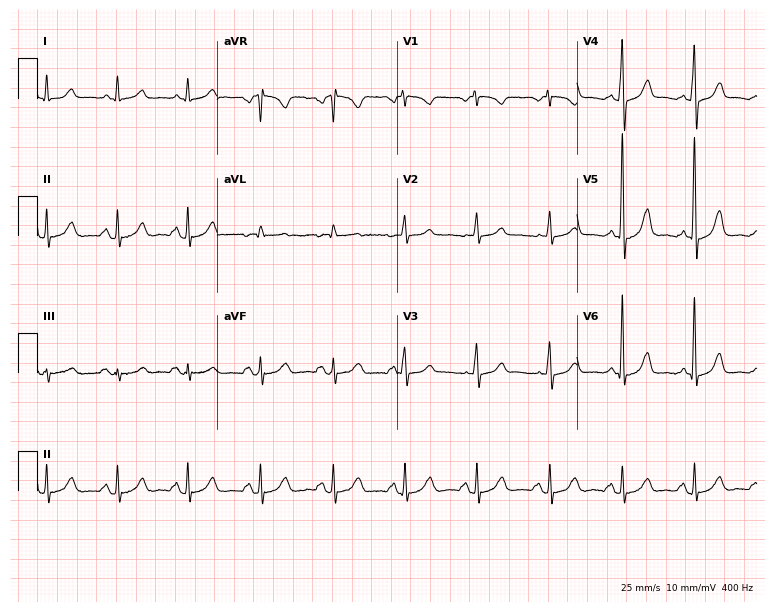
Resting 12-lead electrocardiogram. Patient: a 65-year-old woman. None of these six findings is recorded: first-degree AV block, right bundle branch block, left bundle branch block, sinus bradycardia, atrial fibrillation, sinus tachycardia. Other findings, if any, are not listed.